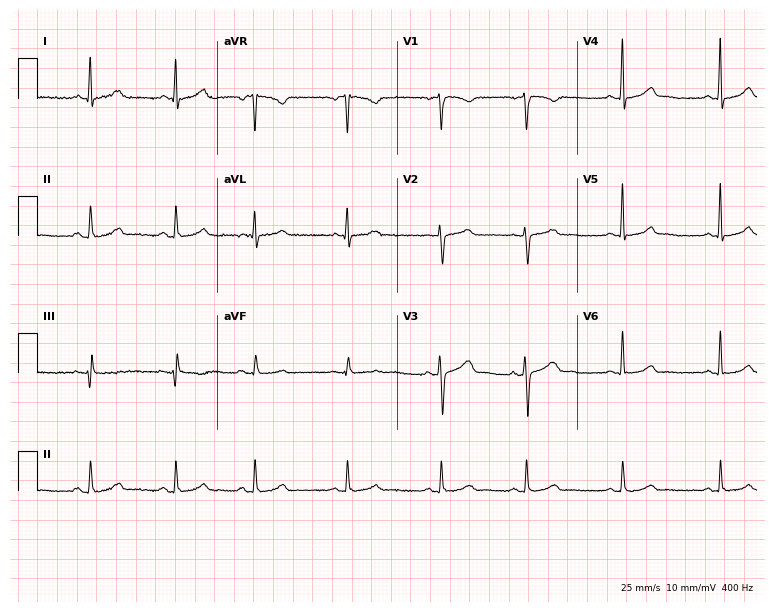
Standard 12-lead ECG recorded from a female patient, 27 years old (7.3-second recording at 400 Hz). Read as a normal ECG.